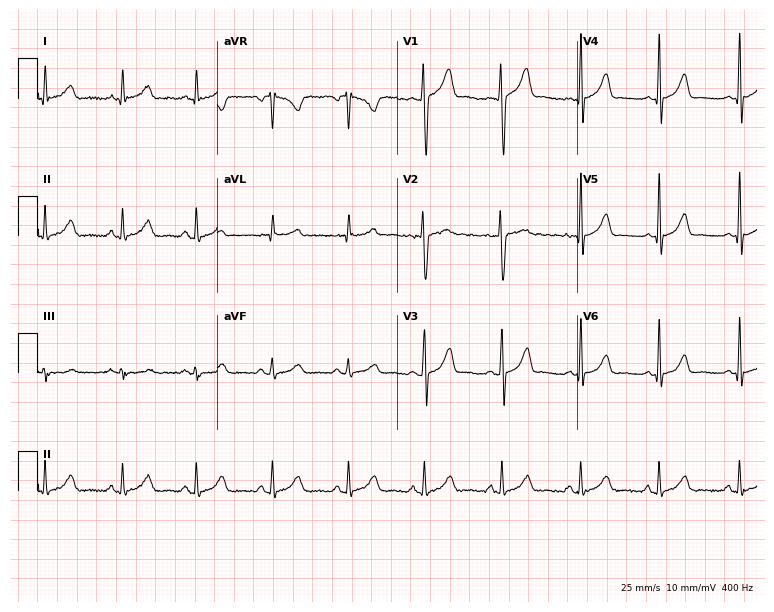
Electrocardiogram, a female, 35 years old. Of the six screened findings (first-degree AV block, right bundle branch block, left bundle branch block, sinus bradycardia, atrial fibrillation, sinus tachycardia), none is recorded.